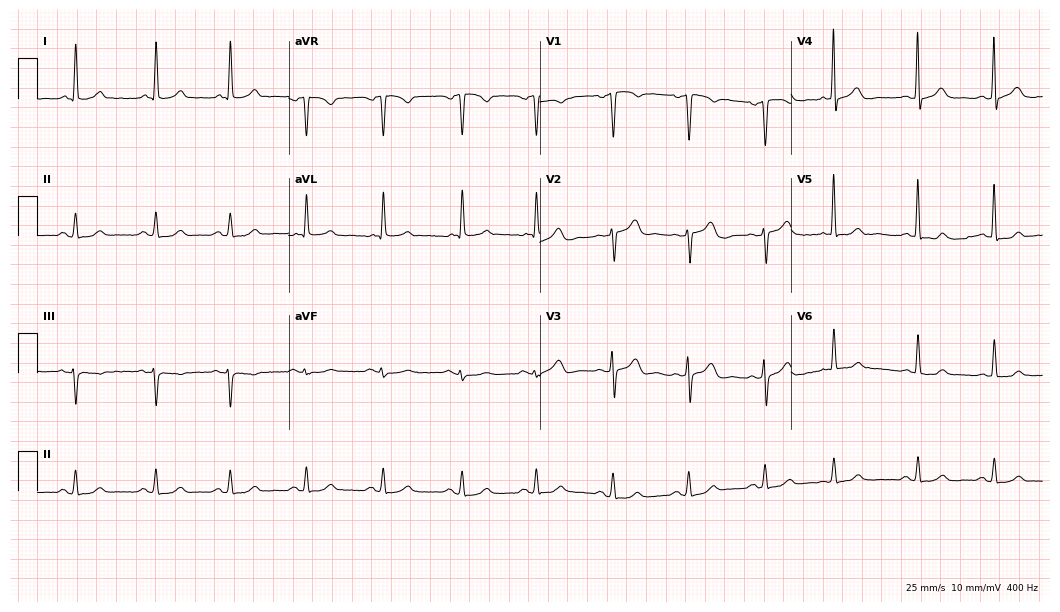
Standard 12-lead ECG recorded from a 58-year-old woman. Read as a normal ECG.